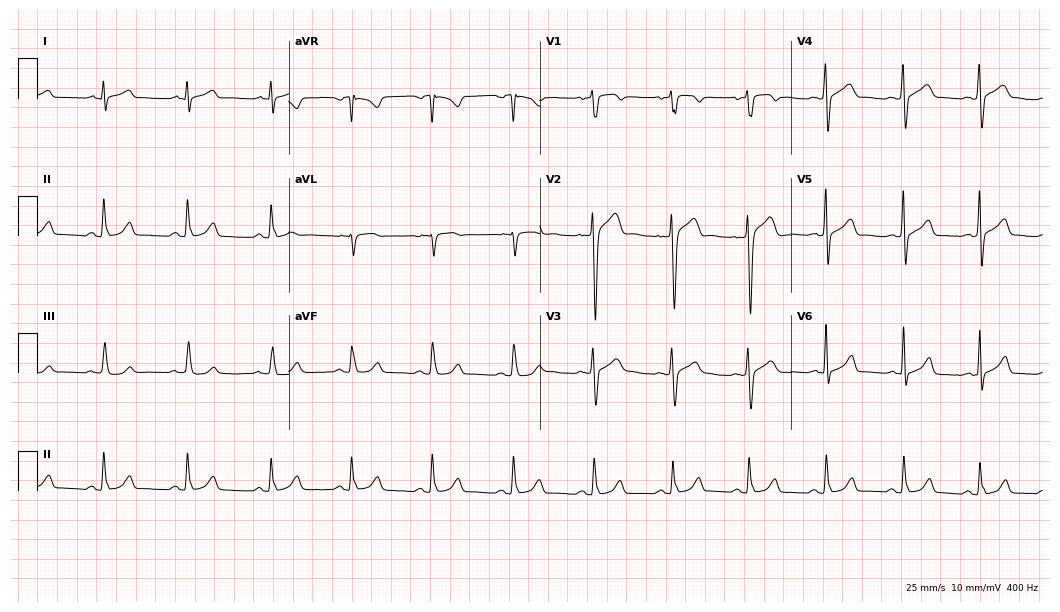
Resting 12-lead electrocardiogram. Patient: a 23-year-old man. Read as a normal ECG.